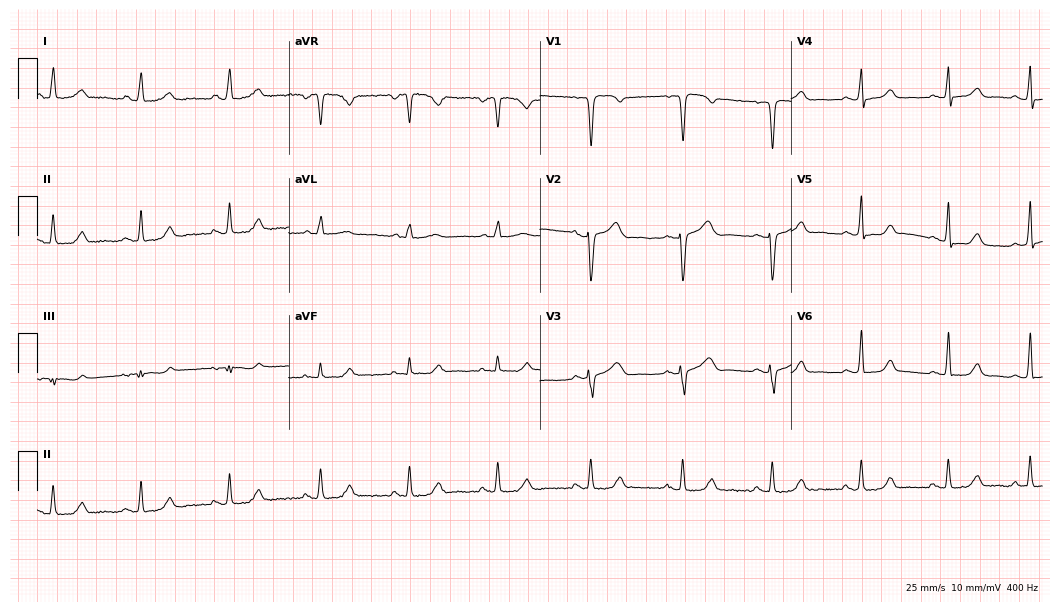
Resting 12-lead electrocardiogram. Patient: a 52-year-old female. Read as a normal ECG.